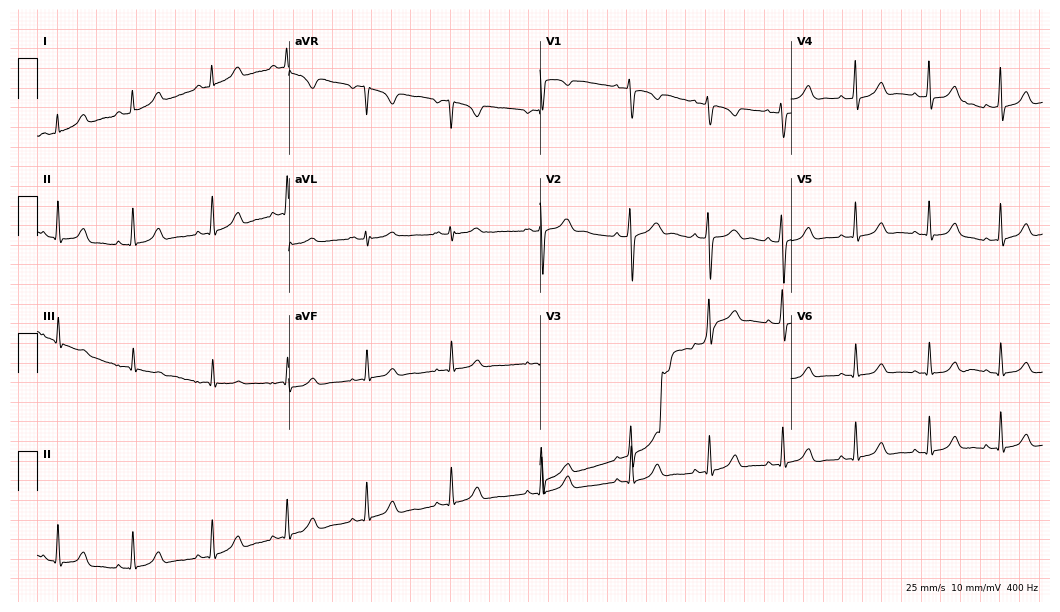
ECG — a 24-year-old woman. Screened for six findings — first-degree AV block, right bundle branch block, left bundle branch block, sinus bradycardia, atrial fibrillation, sinus tachycardia — none is recorded.